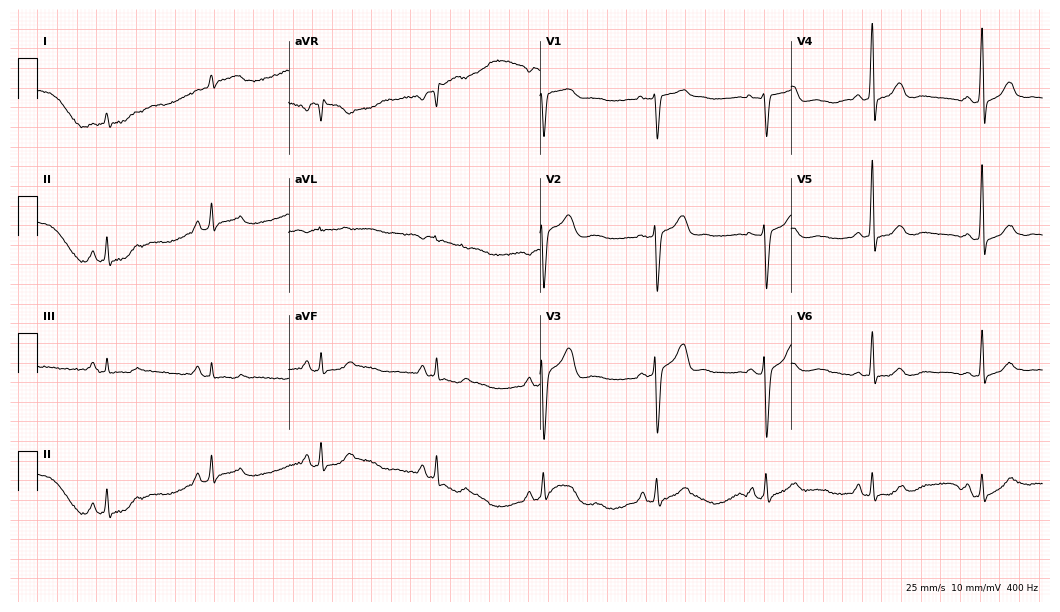
ECG — a 42-year-old male. Screened for six findings — first-degree AV block, right bundle branch block, left bundle branch block, sinus bradycardia, atrial fibrillation, sinus tachycardia — none is recorded. Only these six findings were labelled.